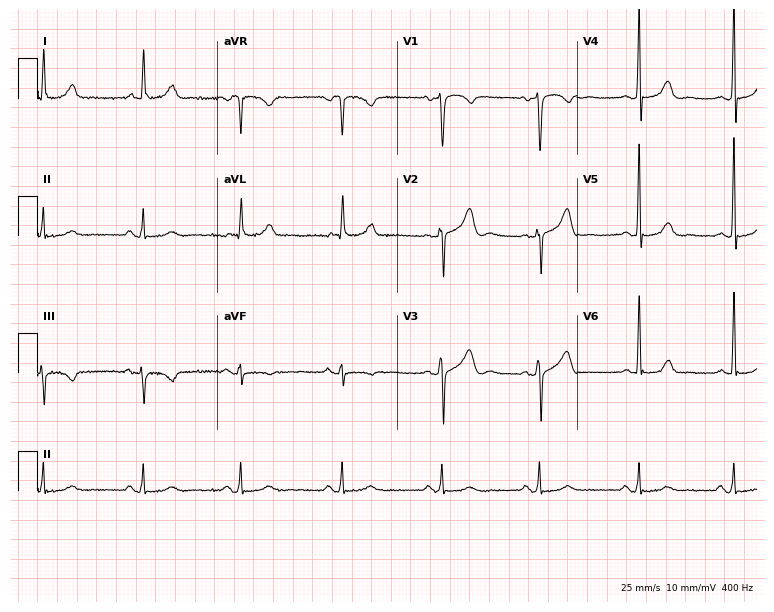
12-lead ECG from a 61-year-old female patient (7.3-second recording at 400 Hz). No first-degree AV block, right bundle branch block, left bundle branch block, sinus bradycardia, atrial fibrillation or sinus tachycardia recorded for this tracing.